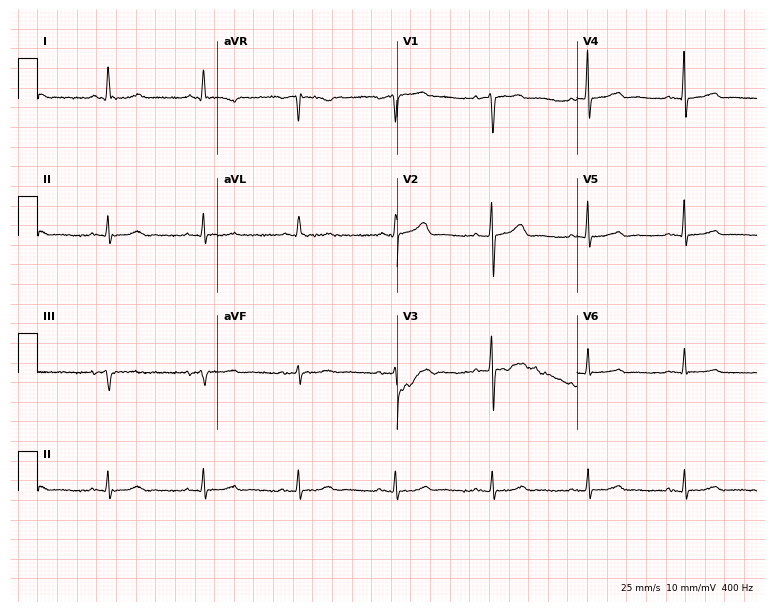
ECG (7.3-second recording at 400 Hz) — a 73-year-old female. Labelled as a normal ECG.